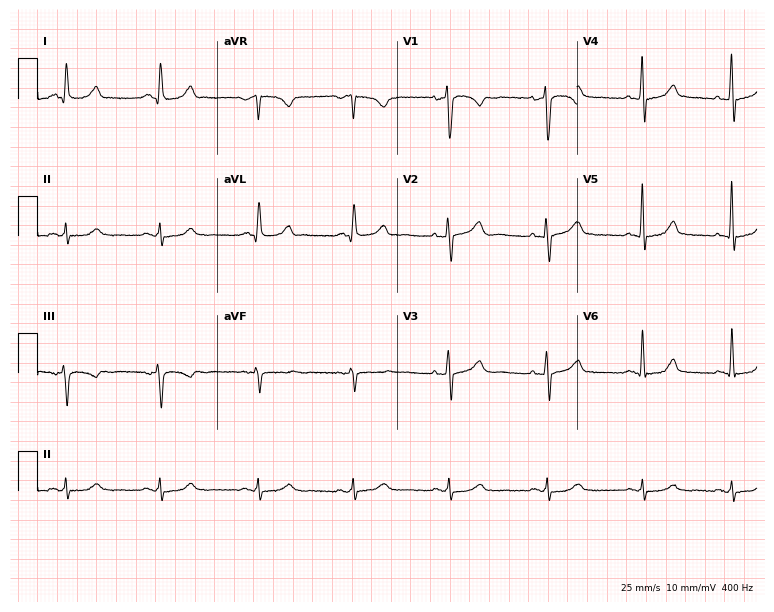
Standard 12-lead ECG recorded from a 52-year-old female patient. None of these six findings is recorded: first-degree AV block, right bundle branch block (RBBB), left bundle branch block (LBBB), sinus bradycardia, atrial fibrillation (AF), sinus tachycardia. Other findings, if any, are not listed.